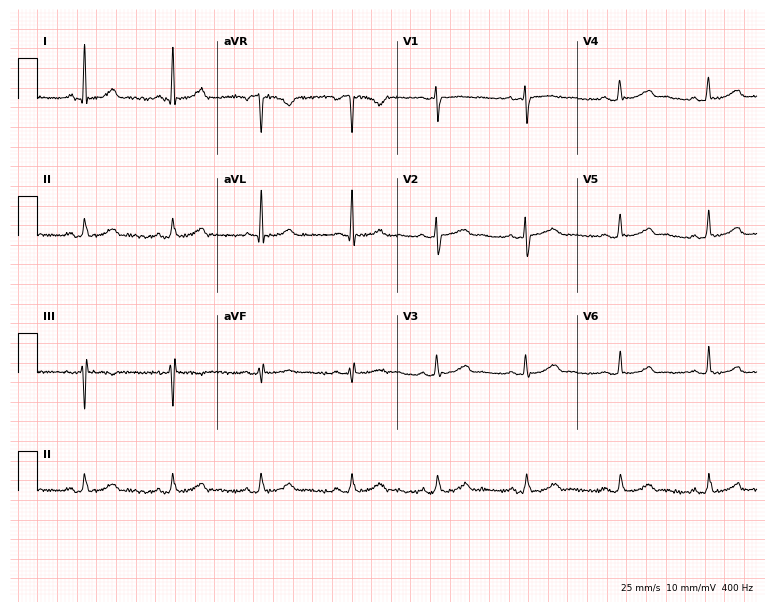
Resting 12-lead electrocardiogram (7.3-second recording at 400 Hz). Patient: a 43-year-old female. Read as a normal ECG.